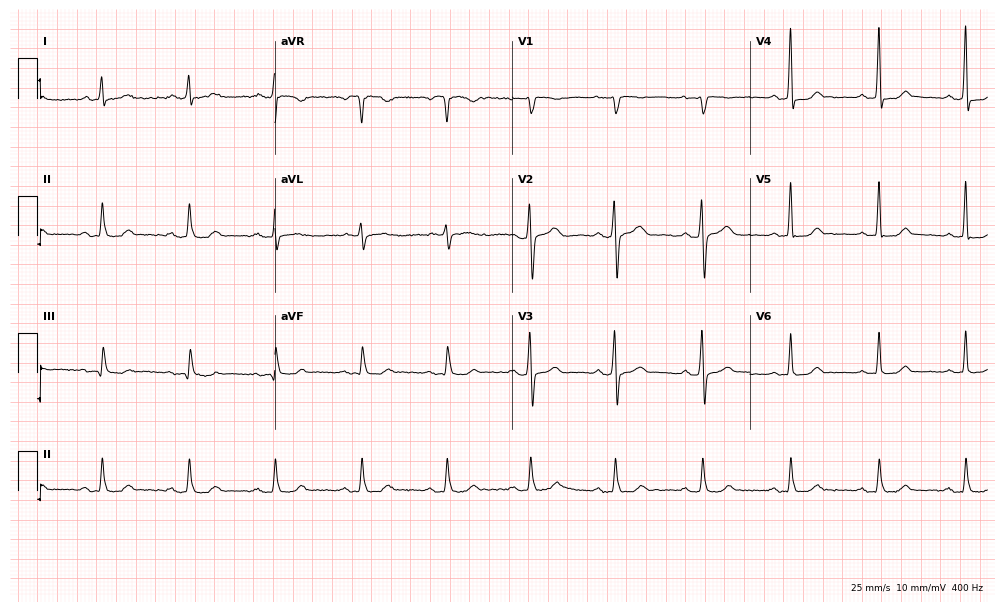
Resting 12-lead electrocardiogram (9.7-second recording at 400 Hz). Patient: a 55-year-old female. Read as a normal ECG.